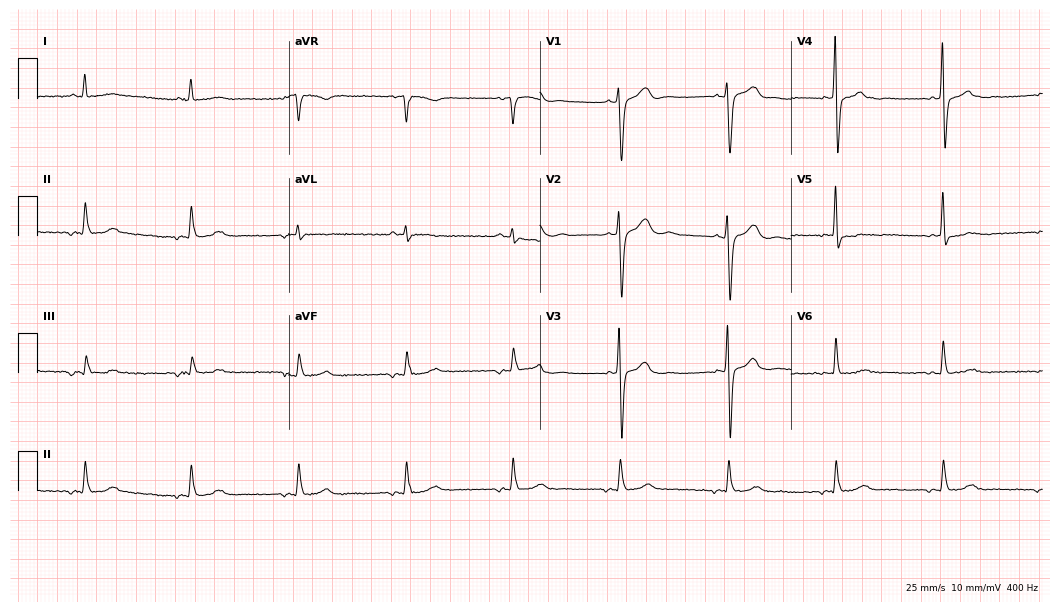
Standard 12-lead ECG recorded from a male, 57 years old. None of these six findings is recorded: first-degree AV block, right bundle branch block, left bundle branch block, sinus bradycardia, atrial fibrillation, sinus tachycardia.